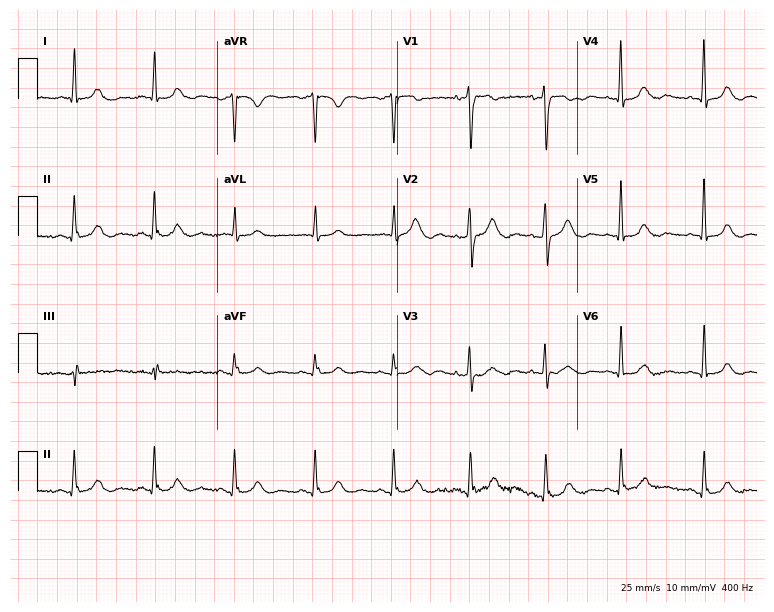
ECG — an 84-year-old woman. Labelled as a normal ECG.